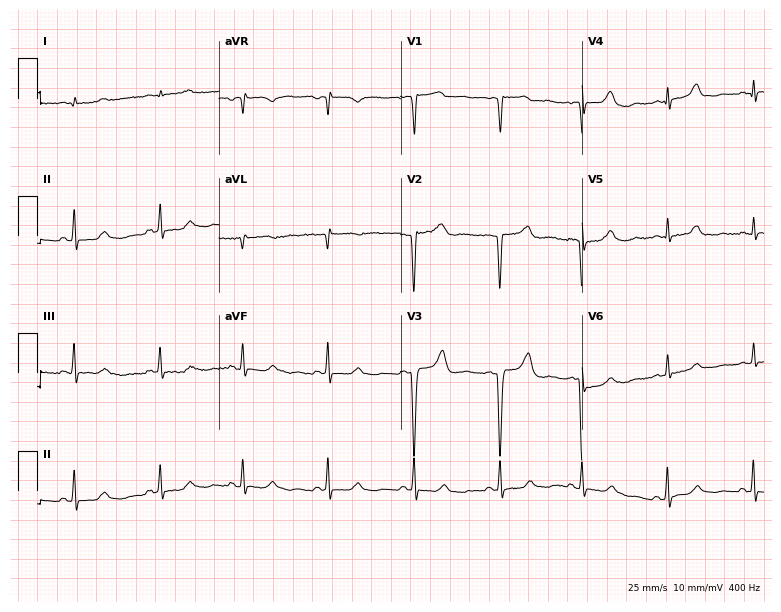
12-lead ECG from a woman, 54 years old (7.4-second recording at 400 Hz). No first-degree AV block, right bundle branch block, left bundle branch block, sinus bradycardia, atrial fibrillation or sinus tachycardia recorded for this tracing. Only these six findings were labelled.